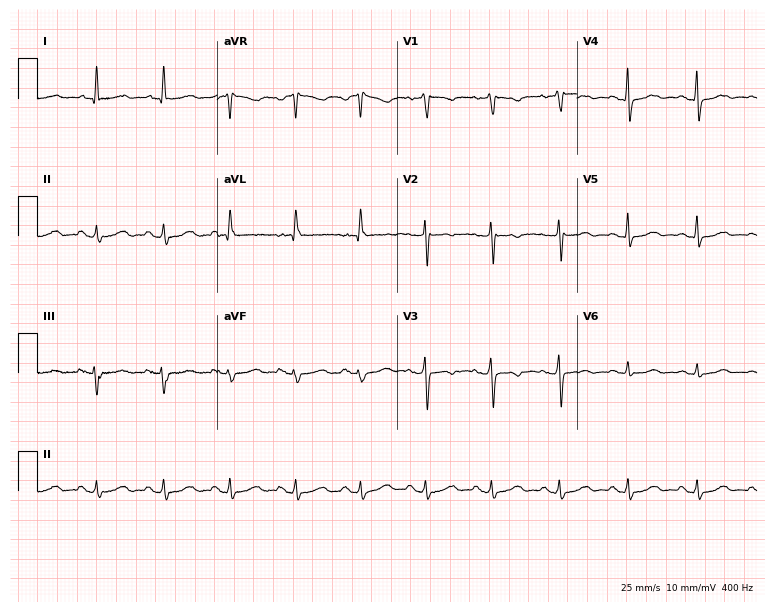
12-lead ECG (7.3-second recording at 400 Hz) from a woman, 78 years old. Screened for six findings — first-degree AV block, right bundle branch block, left bundle branch block, sinus bradycardia, atrial fibrillation, sinus tachycardia — none is recorded.